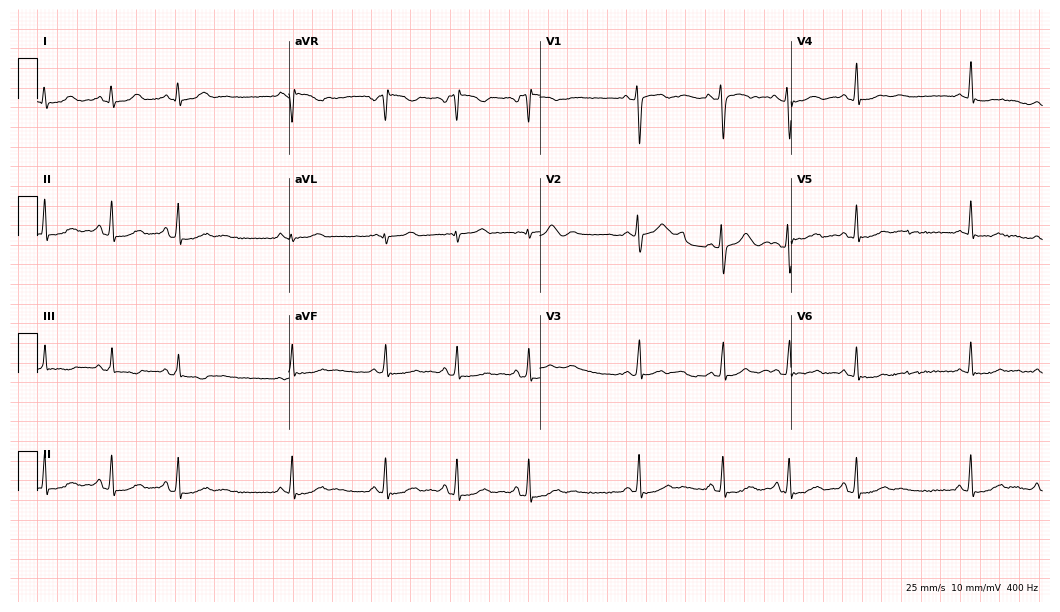
Electrocardiogram, a female, 18 years old. Of the six screened findings (first-degree AV block, right bundle branch block, left bundle branch block, sinus bradycardia, atrial fibrillation, sinus tachycardia), none is recorded. Other findings, if any, are not listed.